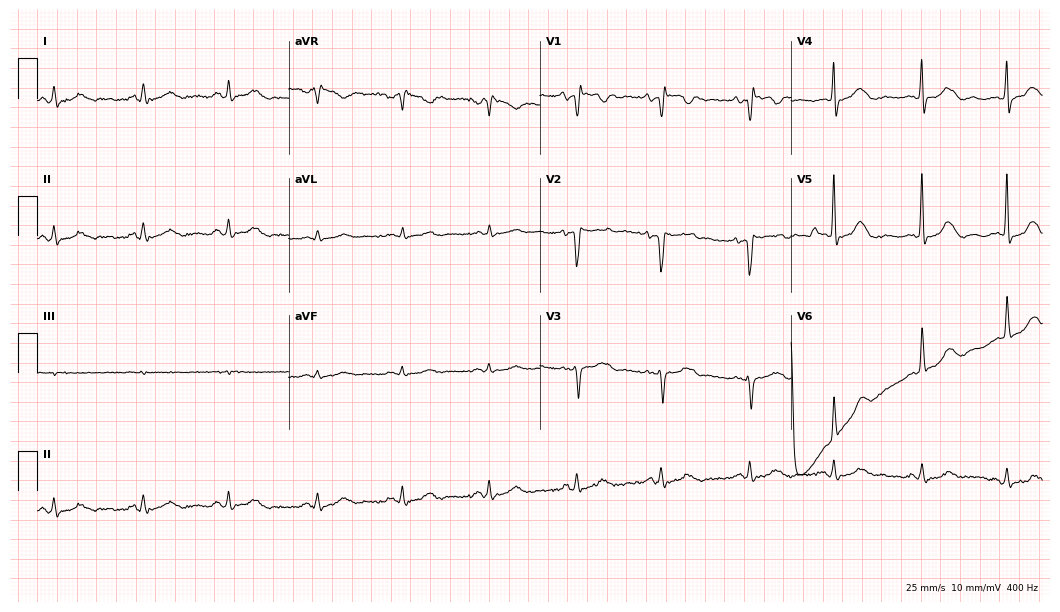
Resting 12-lead electrocardiogram (10.2-second recording at 400 Hz). Patient: a female, 80 years old. None of these six findings is recorded: first-degree AV block, right bundle branch block (RBBB), left bundle branch block (LBBB), sinus bradycardia, atrial fibrillation (AF), sinus tachycardia. Other findings, if any, are not listed.